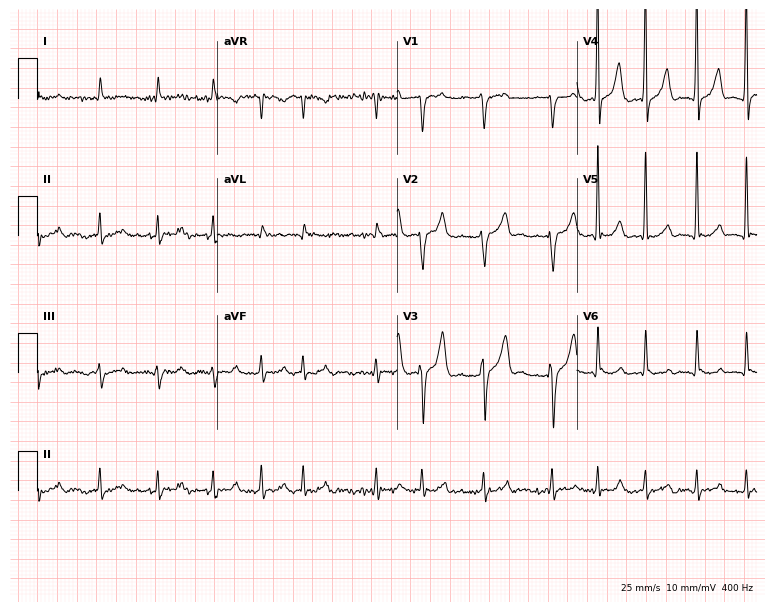
12-lead ECG from a 60-year-old male patient. Shows atrial fibrillation (AF).